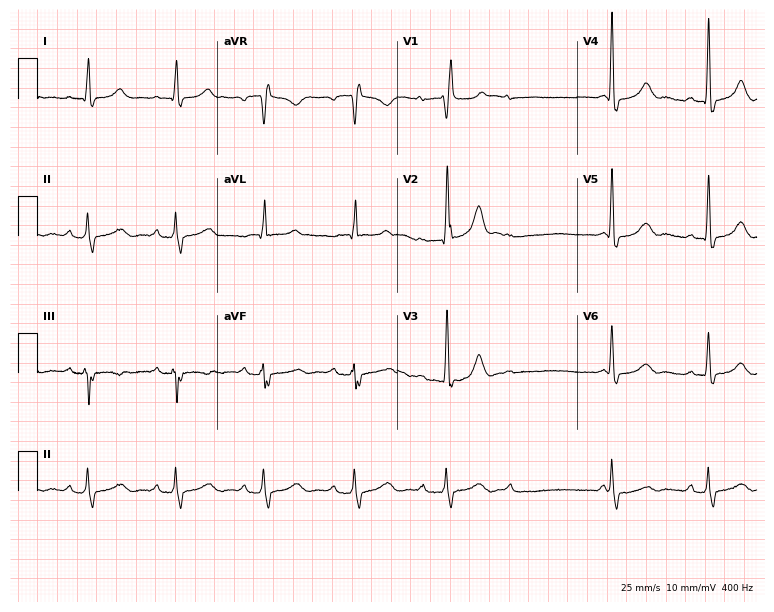
12-lead ECG from a 62-year-old female. Findings include right bundle branch block.